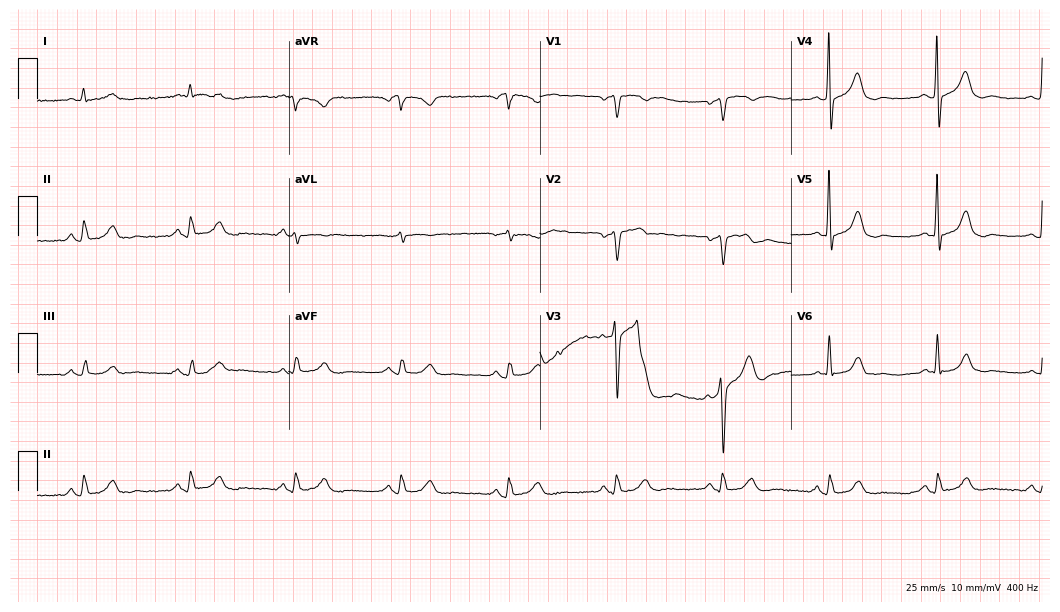
Electrocardiogram (10.2-second recording at 400 Hz), a 77-year-old male patient. Overall reading on record: normal ECG.